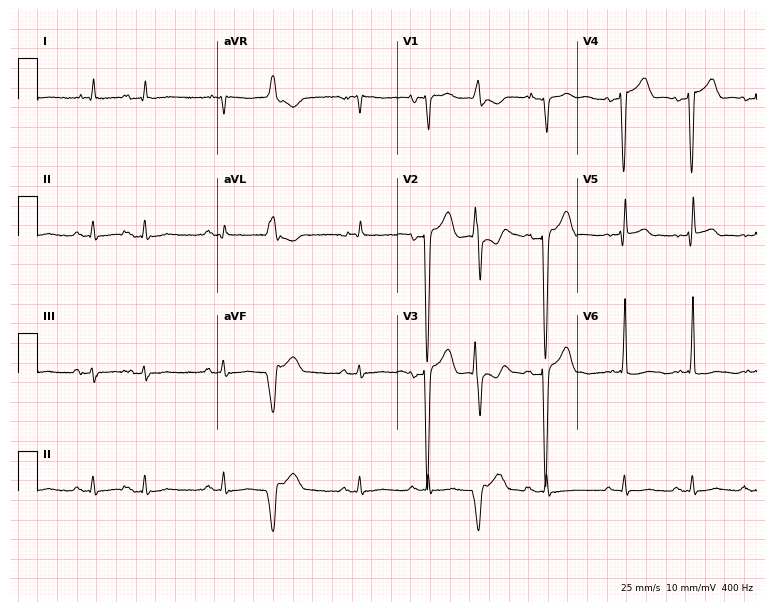
Resting 12-lead electrocardiogram (7.3-second recording at 400 Hz). Patient: an 86-year-old male. Read as a normal ECG.